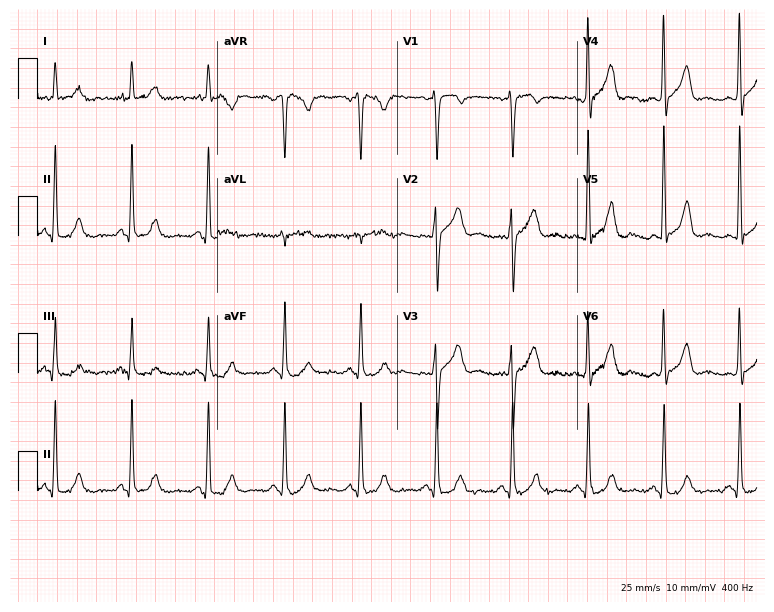
ECG — a man, 48 years old. Screened for six findings — first-degree AV block, right bundle branch block (RBBB), left bundle branch block (LBBB), sinus bradycardia, atrial fibrillation (AF), sinus tachycardia — none is recorded. Other findings, if any, are not listed.